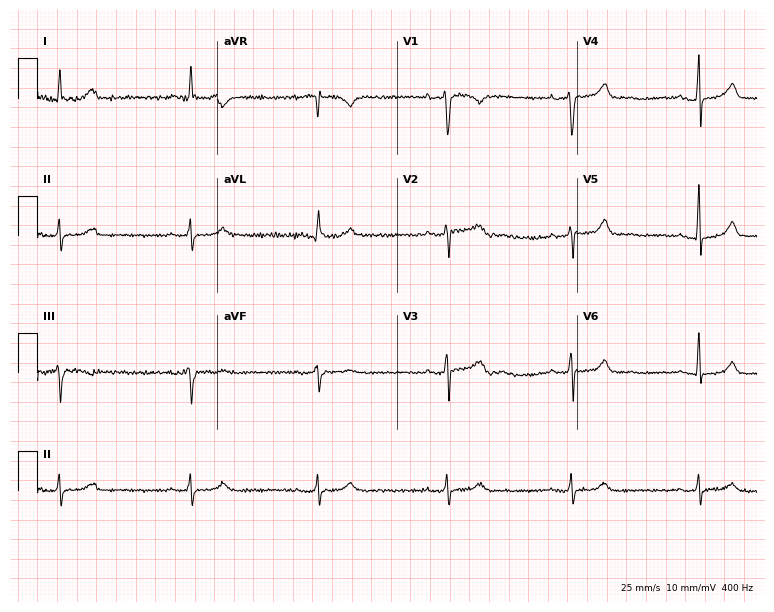
12-lead ECG from a man, 66 years old. Findings include sinus bradycardia (a sinus rate of 50 beats per minute or less).